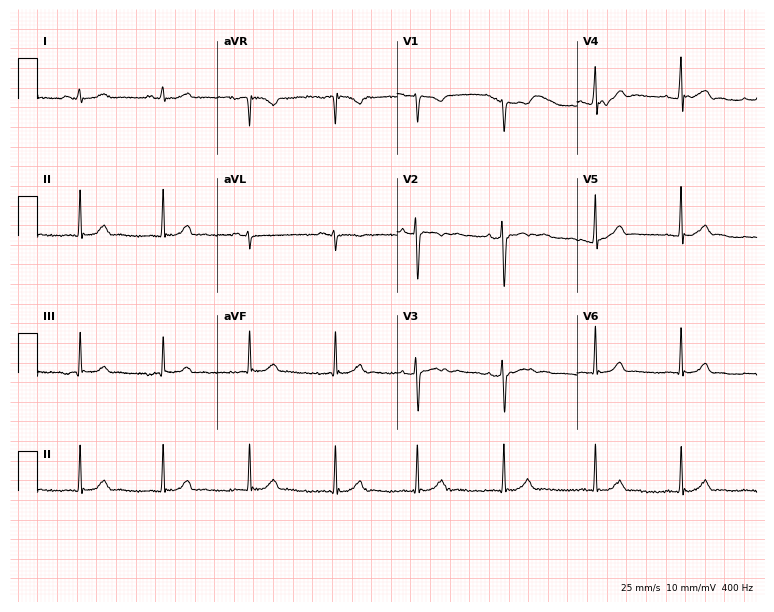
Electrocardiogram (7.3-second recording at 400 Hz), a female, 19 years old. Of the six screened findings (first-degree AV block, right bundle branch block, left bundle branch block, sinus bradycardia, atrial fibrillation, sinus tachycardia), none is recorded.